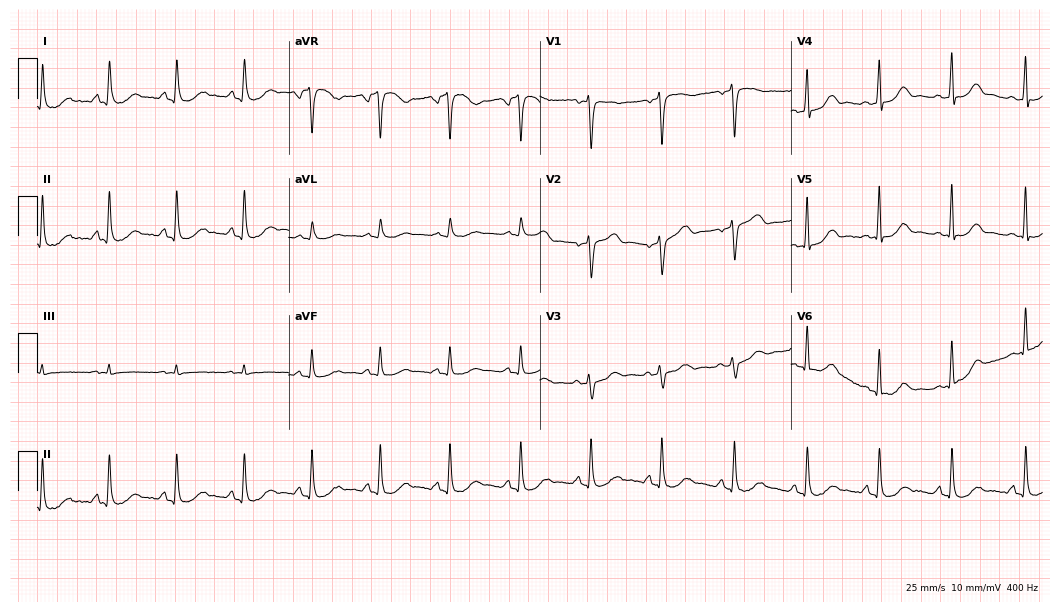
ECG — a 58-year-old female. Labelled as a normal ECG.